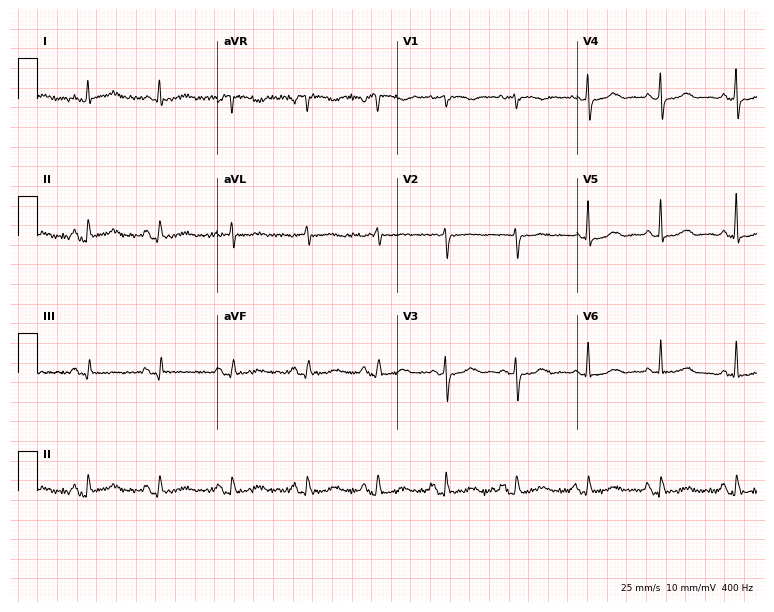
Resting 12-lead electrocardiogram. Patient: an 84-year-old female. Read as a normal ECG.